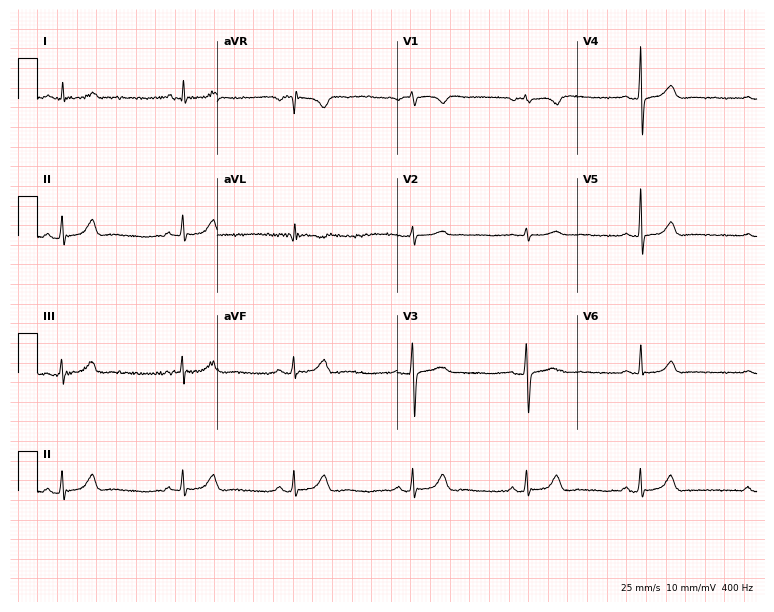
12-lead ECG from a female, 66 years old. Findings include sinus bradycardia (a sinus rate of 50 beats per minute or less).